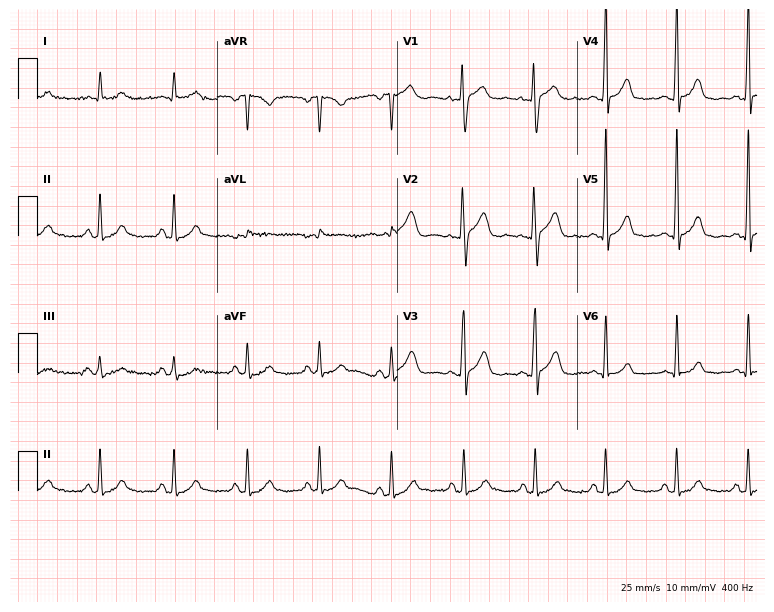
12-lead ECG from a male patient, 60 years old (7.3-second recording at 400 Hz). Recorded interpretation: within normal limits.